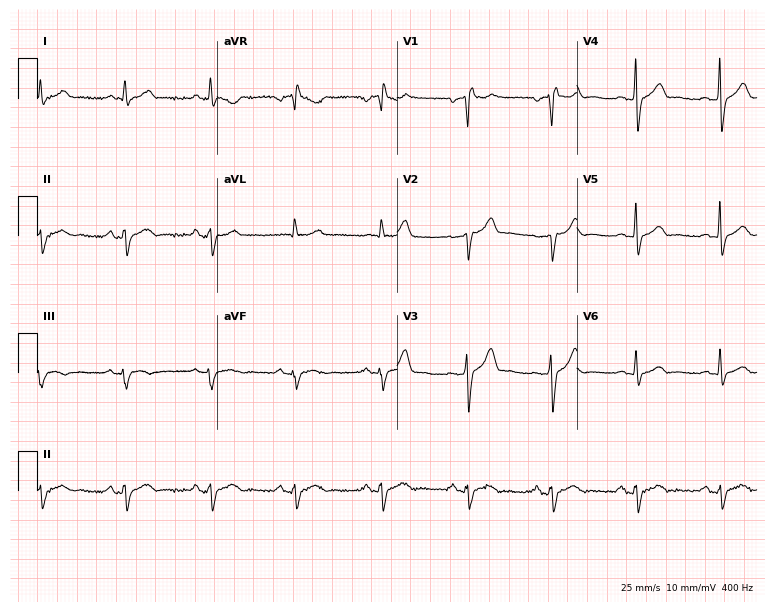
12-lead ECG from a 46-year-old man. Screened for six findings — first-degree AV block, right bundle branch block, left bundle branch block, sinus bradycardia, atrial fibrillation, sinus tachycardia — none is recorded.